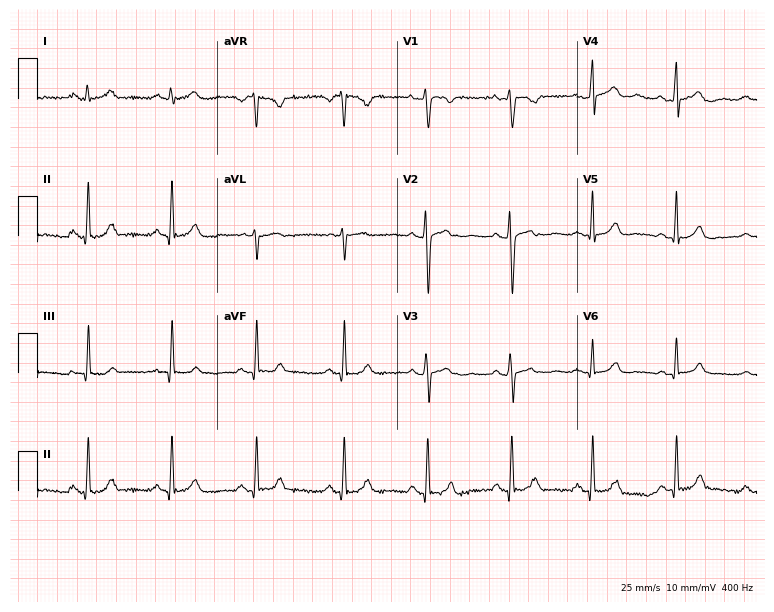
Resting 12-lead electrocardiogram. Patient: a female, 30 years old. None of these six findings is recorded: first-degree AV block, right bundle branch block, left bundle branch block, sinus bradycardia, atrial fibrillation, sinus tachycardia. Only these six findings were labelled.